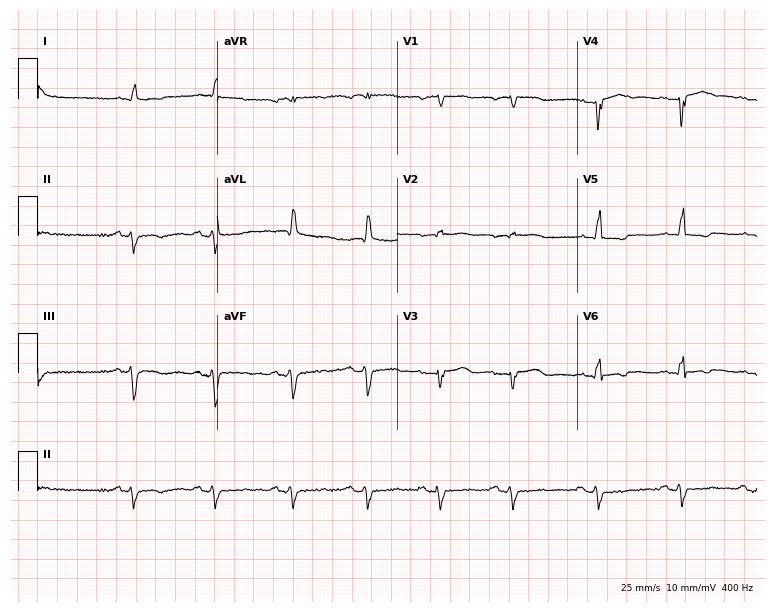
Standard 12-lead ECG recorded from a male patient, 75 years old (7.3-second recording at 400 Hz). None of these six findings is recorded: first-degree AV block, right bundle branch block, left bundle branch block, sinus bradycardia, atrial fibrillation, sinus tachycardia. Other findings, if any, are not listed.